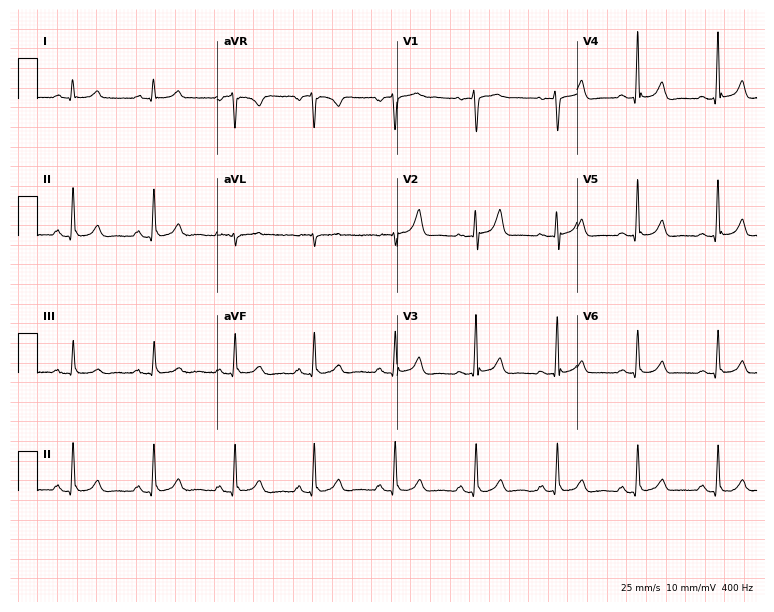
Standard 12-lead ECG recorded from a woman, 48 years old. None of these six findings is recorded: first-degree AV block, right bundle branch block (RBBB), left bundle branch block (LBBB), sinus bradycardia, atrial fibrillation (AF), sinus tachycardia. Other findings, if any, are not listed.